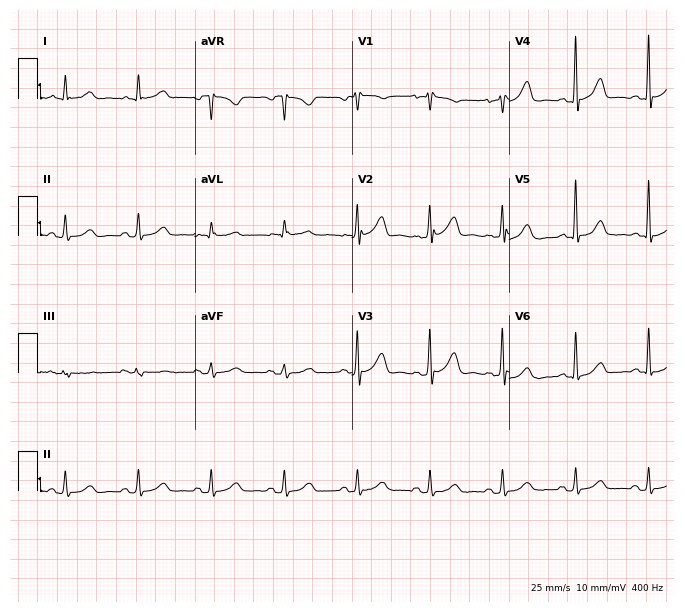
Resting 12-lead electrocardiogram (6.4-second recording at 400 Hz). Patient: a female, 69 years old. Read as a normal ECG.